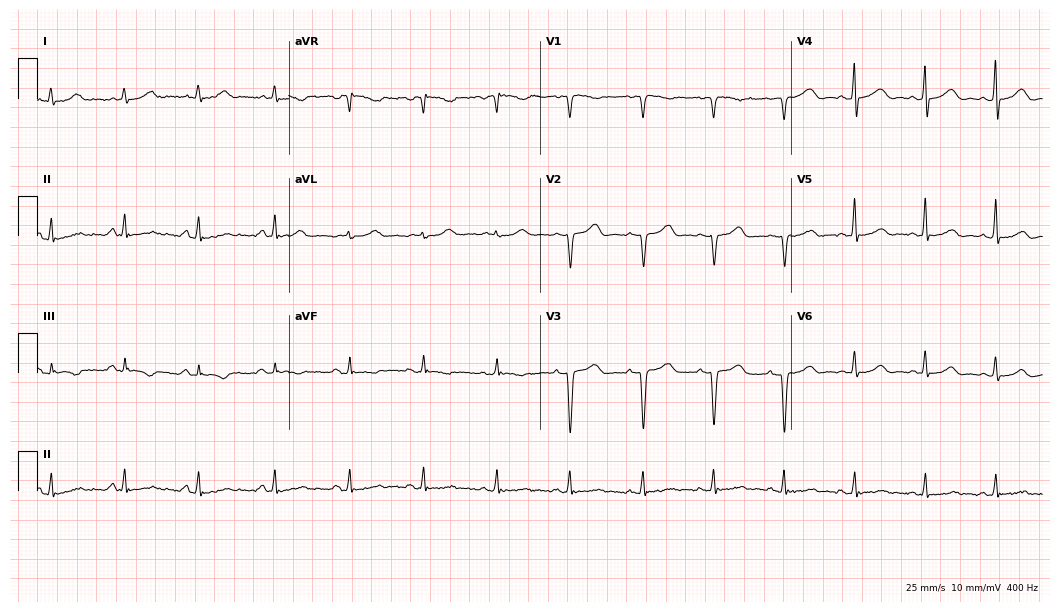
Standard 12-lead ECG recorded from a female, 43 years old. None of these six findings is recorded: first-degree AV block, right bundle branch block (RBBB), left bundle branch block (LBBB), sinus bradycardia, atrial fibrillation (AF), sinus tachycardia.